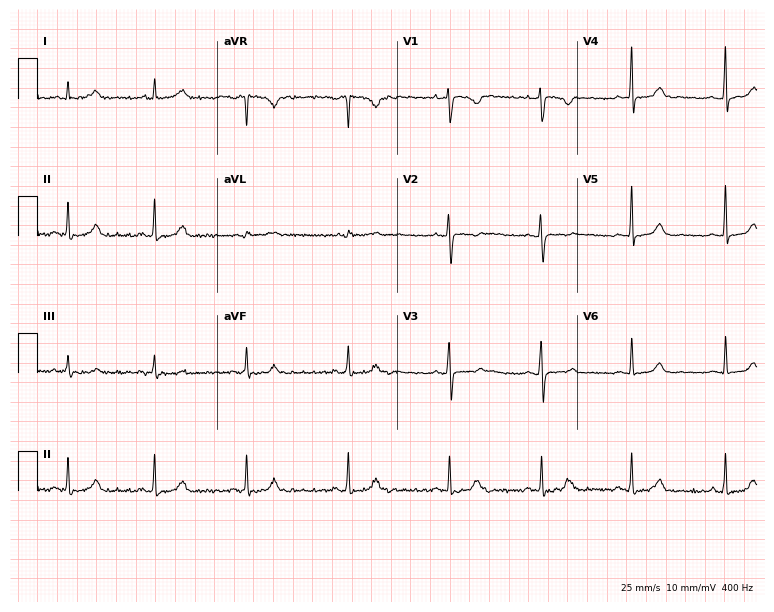
ECG — a female patient, 31 years old. Screened for six findings — first-degree AV block, right bundle branch block, left bundle branch block, sinus bradycardia, atrial fibrillation, sinus tachycardia — none is recorded. Findings outside these six are not listed.